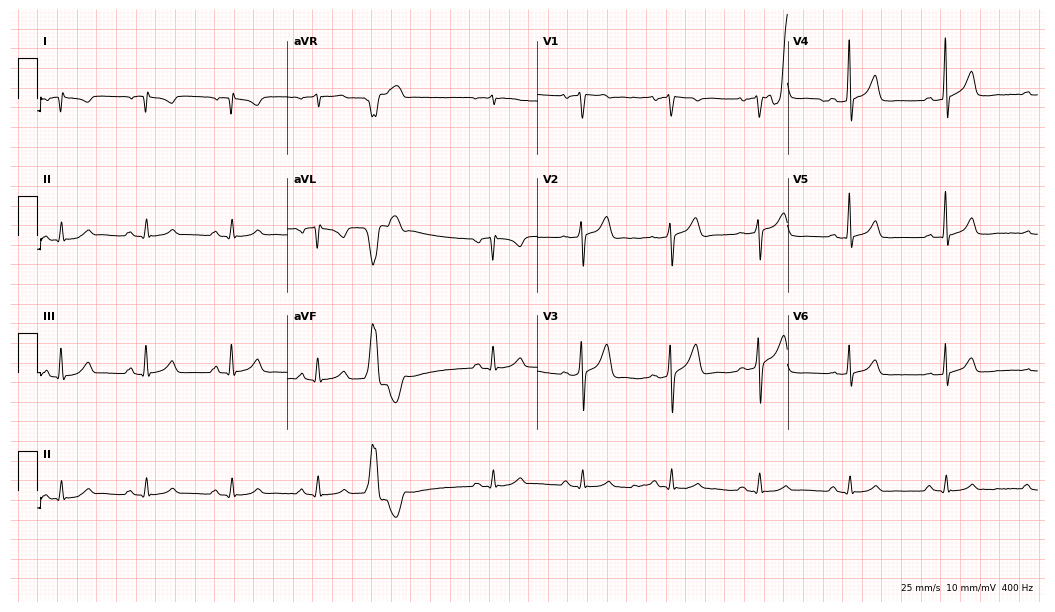
Resting 12-lead electrocardiogram. Patient: a male, 39 years old. None of these six findings is recorded: first-degree AV block, right bundle branch block, left bundle branch block, sinus bradycardia, atrial fibrillation, sinus tachycardia. Only these six findings were labelled.